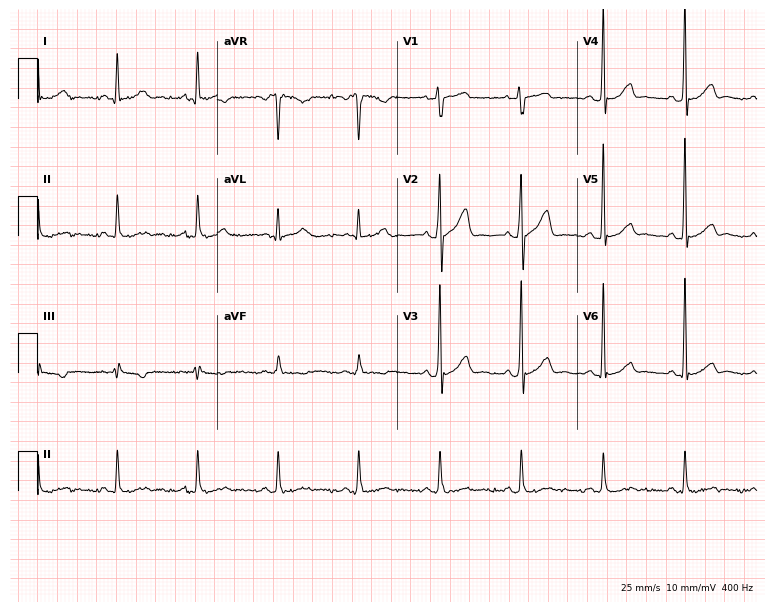
Electrocardiogram, a 47-year-old woman. Of the six screened findings (first-degree AV block, right bundle branch block, left bundle branch block, sinus bradycardia, atrial fibrillation, sinus tachycardia), none is recorded. Other findings, if any, are not listed.